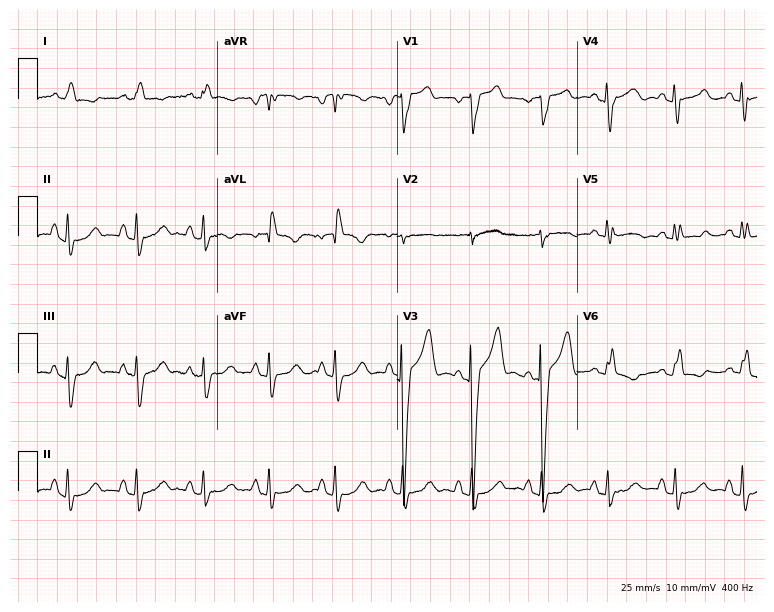
Standard 12-lead ECG recorded from a woman, 76 years old (7.3-second recording at 400 Hz). None of these six findings is recorded: first-degree AV block, right bundle branch block, left bundle branch block, sinus bradycardia, atrial fibrillation, sinus tachycardia. Other findings, if any, are not listed.